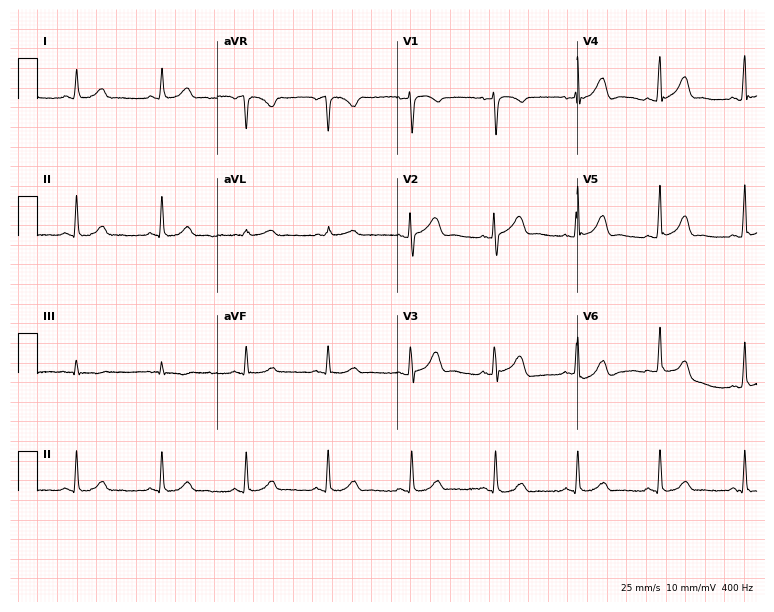
12-lead ECG from a 48-year-old woman. Labelled as a normal ECG.